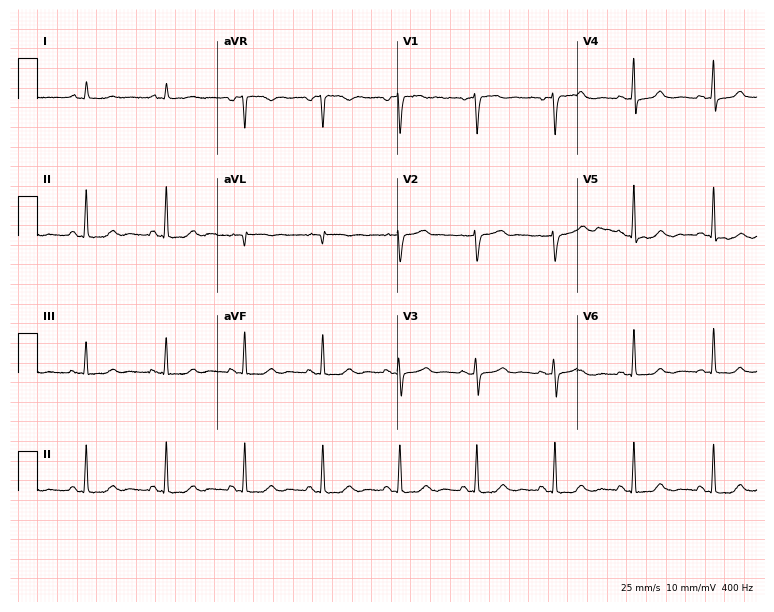
12-lead ECG from a woman, 59 years old (7.3-second recording at 400 Hz). Recorded interpretation: within normal limits.